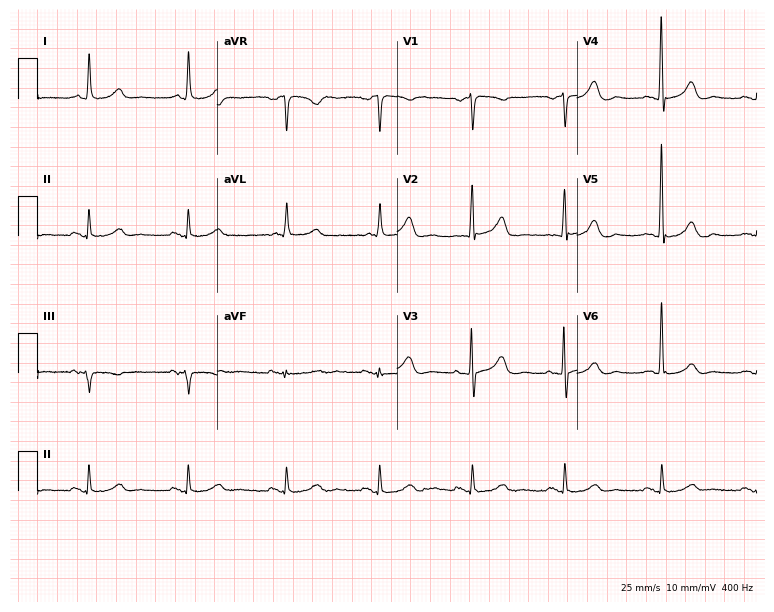
Standard 12-lead ECG recorded from a 70-year-old female patient. None of these six findings is recorded: first-degree AV block, right bundle branch block, left bundle branch block, sinus bradycardia, atrial fibrillation, sinus tachycardia.